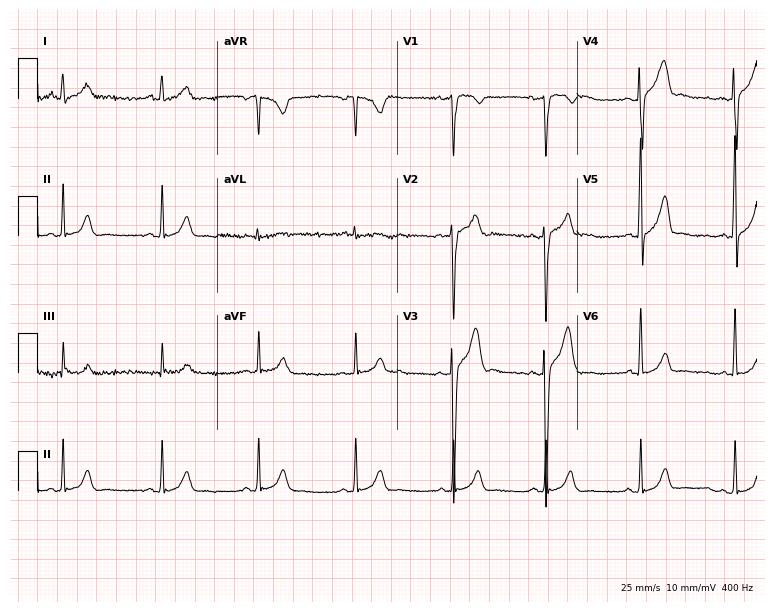
12-lead ECG from a 31-year-old man. Screened for six findings — first-degree AV block, right bundle branch block (RBBB), left bundle branch block (LBBB), sinus bradycardia, atrial fibrillation (AF), sinus tachycardia — none is recorded.